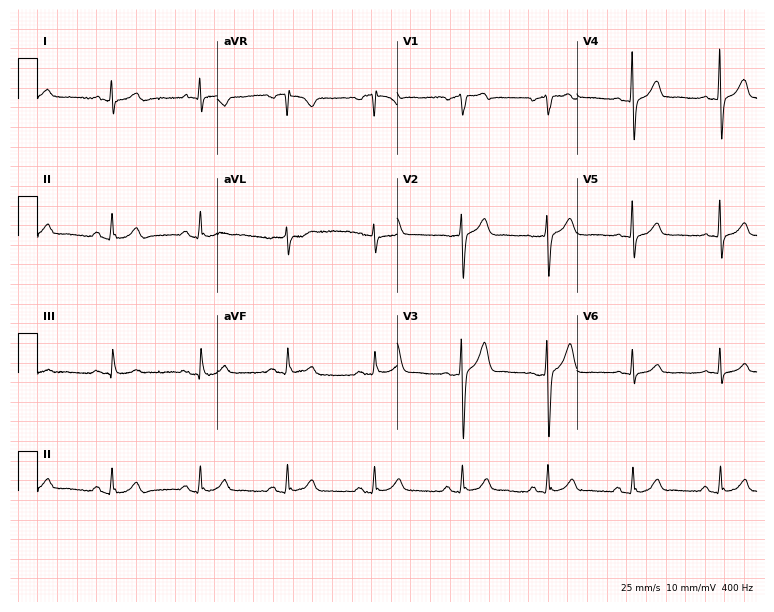
ECG (7.3-second recording at 400 Hz) — a male, 55 years old. Screened for six findings — first-degree AV block, right bundle branch block, left bundle branch block, sinus bradycardia, atrial fibrillation, sinus tachycardia — none is recorded.